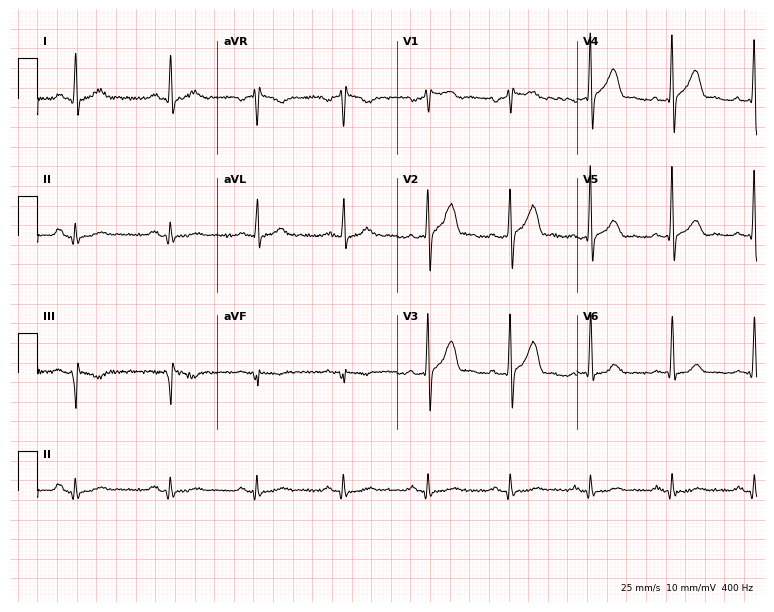
12-lead ECG from a 69-year-old male. Recorded interpretation: within normal limits.